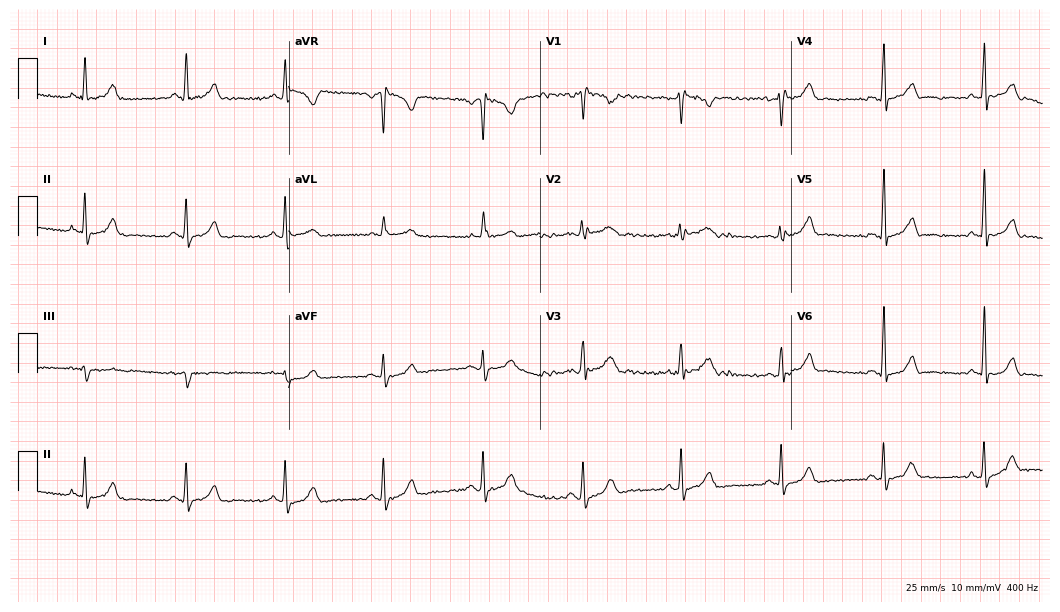
Standard 12-lead ECG recorded from a female patient, 43 years old (10.2-second recording at 400 Hz). None of these six findings is recorded: first-degree AV block, right bundle branch block (RBBB), left bundle branch block (LBBB), sinus bradycardia, atrial fibrillation (AF), sinus tachycardia. Findings outside these six are not listed.